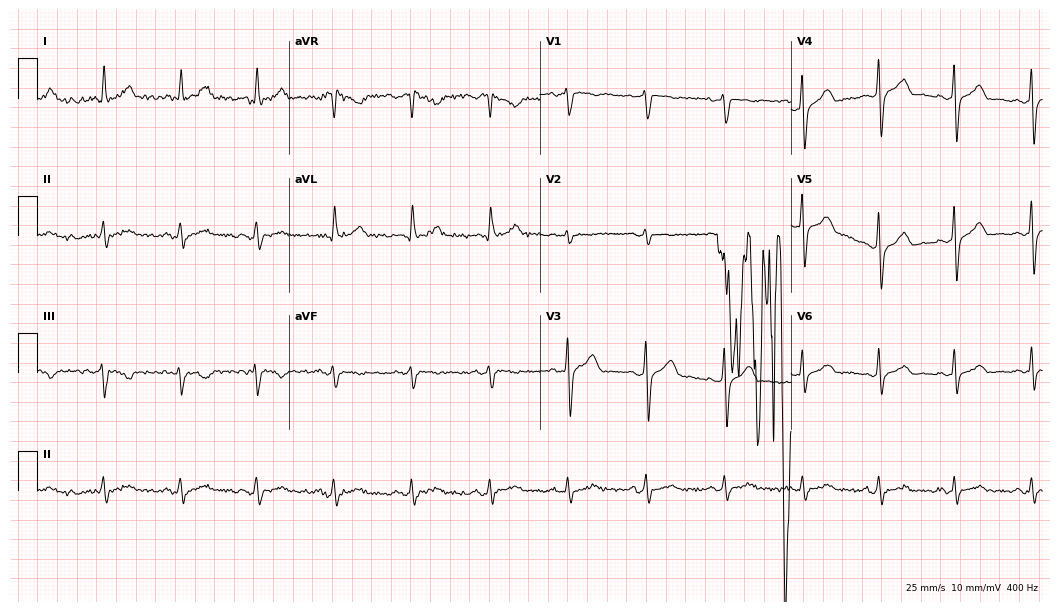
12-lead ECG from a 34-year-old man. Screened for six findings — first-degree AV block, right bundle branch block (RBBB), left bundle branch block (LBBB), sinus bradycardia, atrial fibrillation (AF), sinus tachycardia — none is recorded.